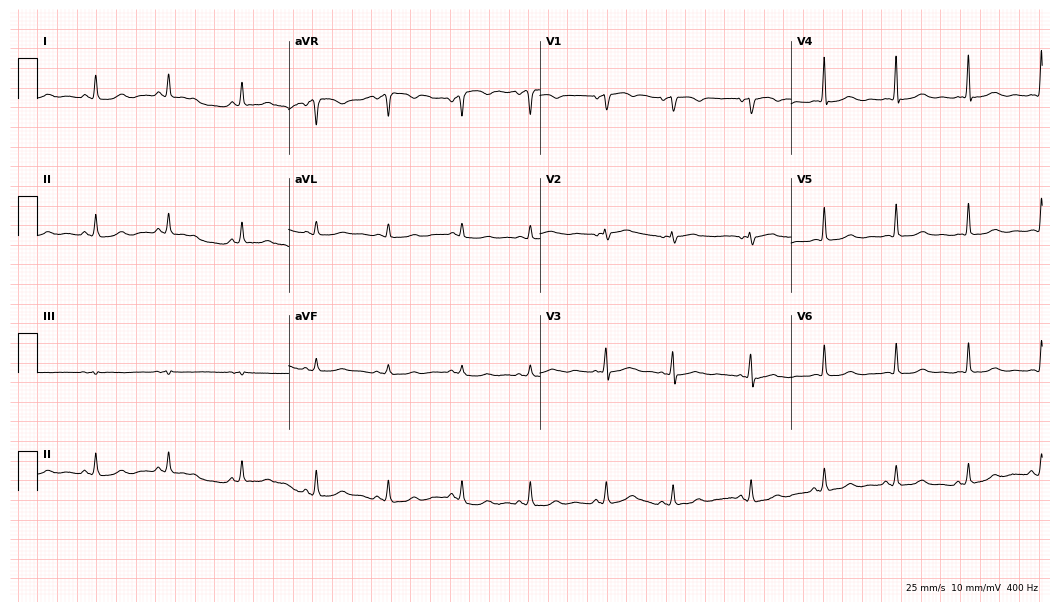
Standard 12-lead ECG recorded from an 81-year-old woman. Read as a normal ECG.